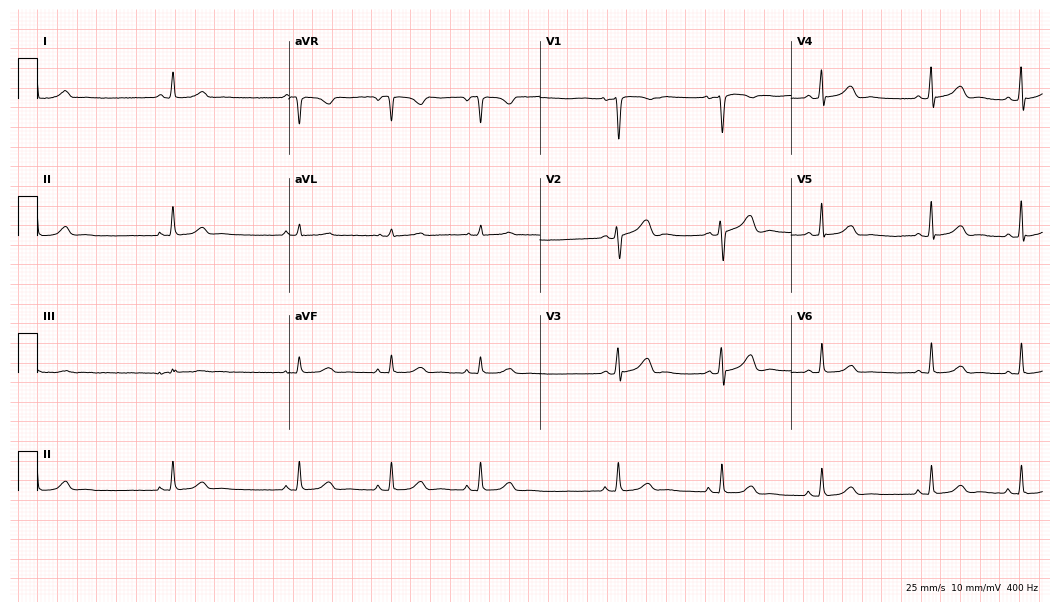
ECG — a 41-year-old female patient. Screened for six findings — first-degree AV block, right bundle branch block, left bundle branch block, sinus bradycardia, atrial fibrillation, sinus tachycardia — none is recorded. Only these six findings were labelled.